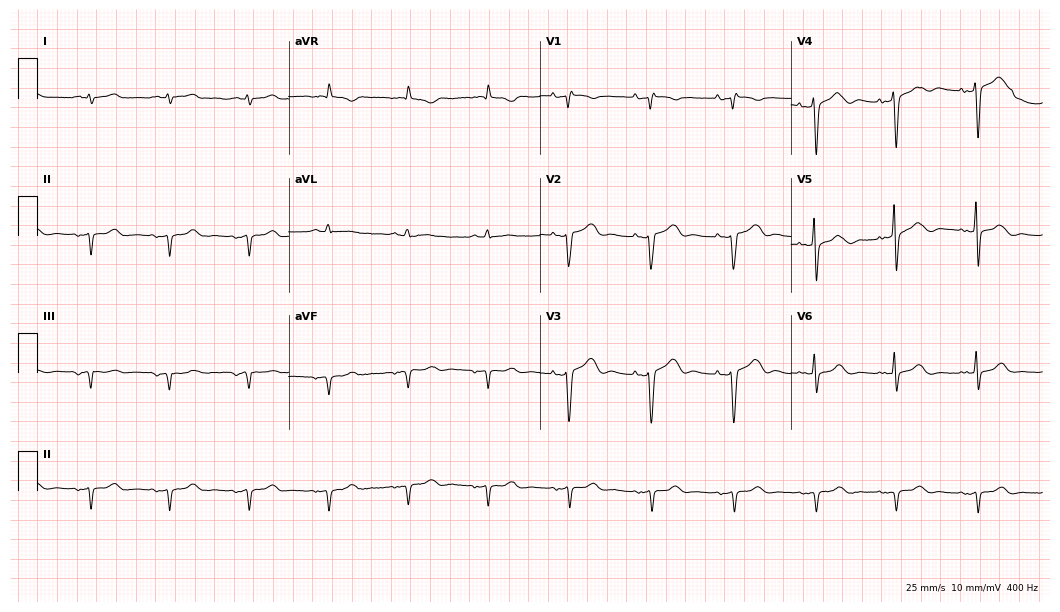
ECG — a woman, 68 years old. Screened for six findings — first-degree AV block, right bundle branch block, left bundle branch block, sinus bradycardia, atrial fibrillation, sinus tachycardia — none is recorded.